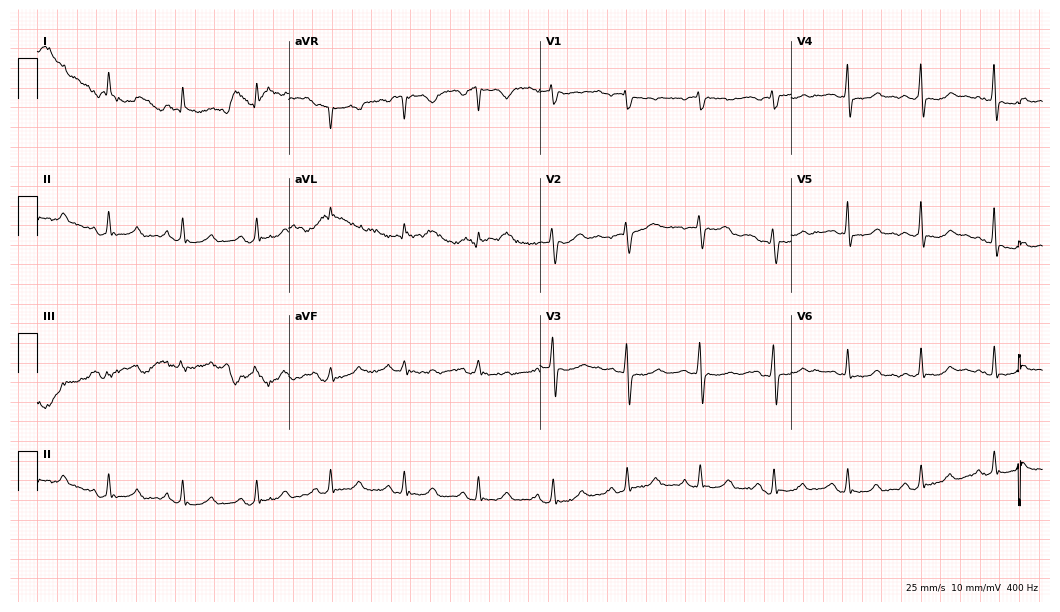
12-lead ECG from a female patient, 57 years old. Labelled as a normal ECG.